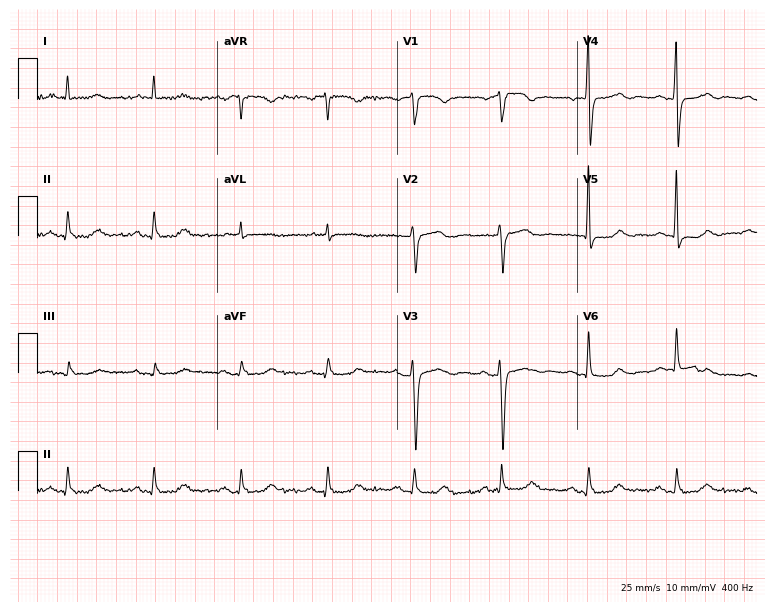
Standard 12-lead ECG recorded from a 78-year-old man (7.3-second recording at 400 Hz). Read as a normal ECG.